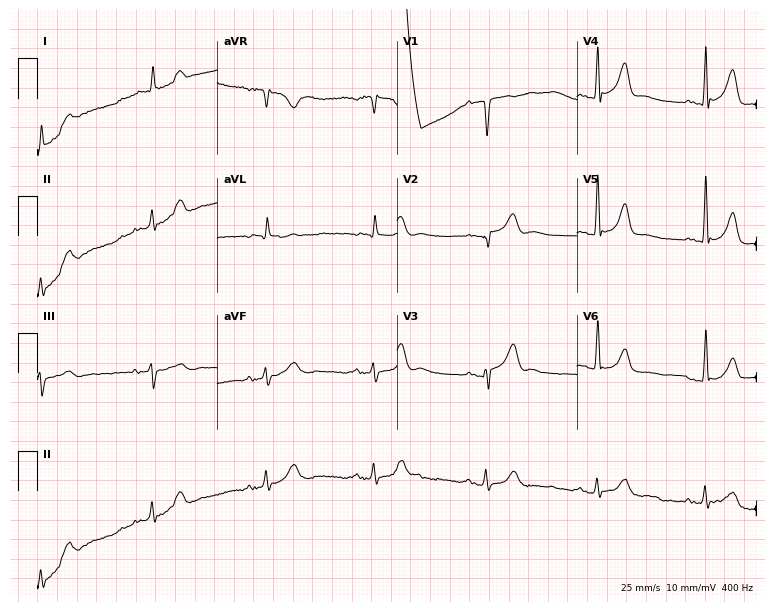
ECG — a 73-year-old man. Screened for six findings — first-degree AV block, right bundle branch block, left bundle branch block, sinus bradycardia, atrial fibrillation, sinus tachycardia — none is recorded. Only these six findings were labelled.